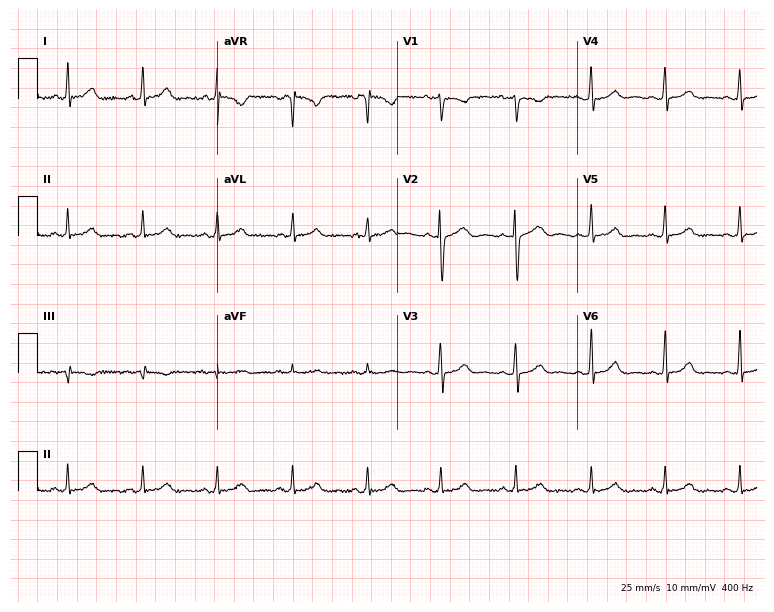
Resting 12-lead electrocardiogram. Patient: a 32-year-old female. None of these six findings is recorded: first-degree AV block, right bundle branch block, left bundle branch block, sinus bradycardia, atrial fibrillation, sinus tachycardia.